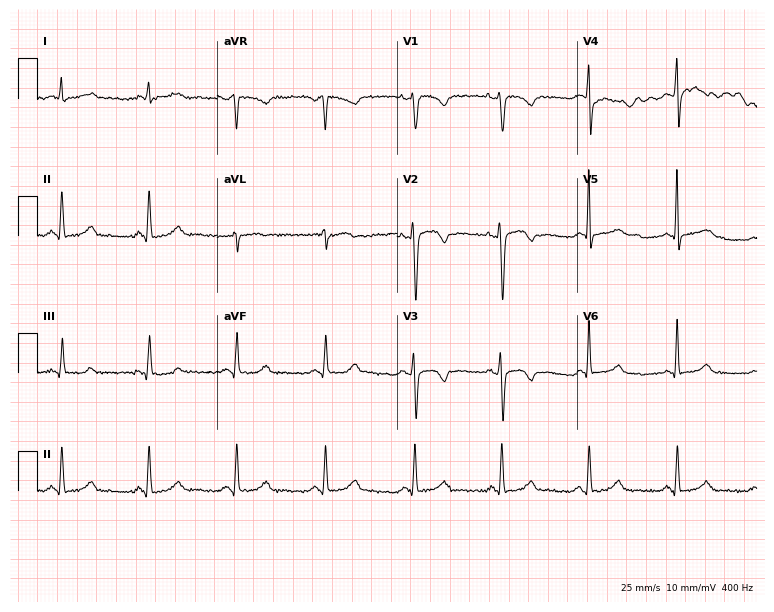
12-lead ECG (7.3-second recording at 400 Hz) from a 36-year-old woman. Screened for six findings — first-degree AV block, right bundle branch block, left bundle branch block, sinus bradycardia, atrial fibrillation, sinus tachycardia — none is recorded. Other findings, if any, are not listed.